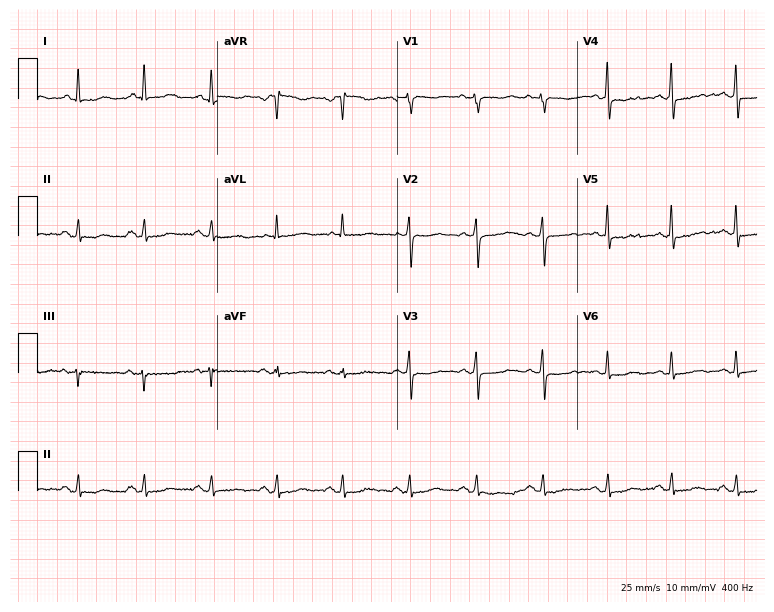
Standard 12-lead ECG recorded from a 52-year-old woman. Read as a normal ECG.